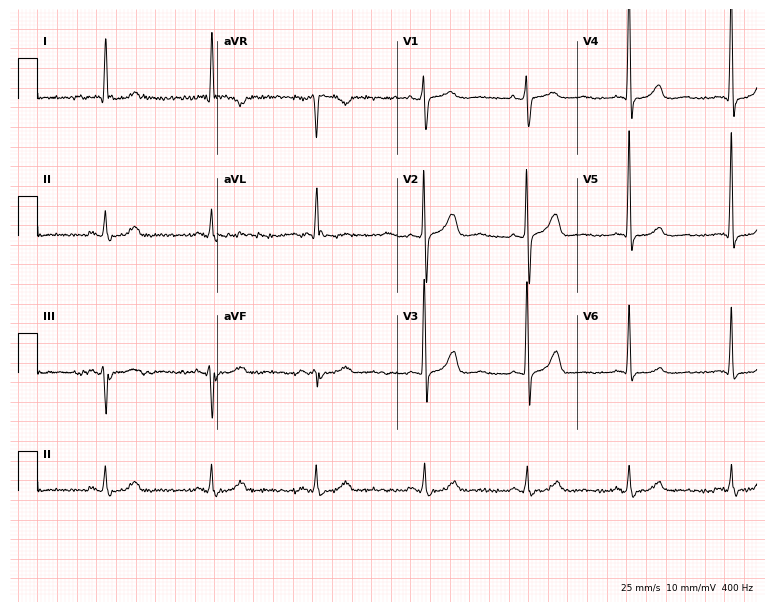
Electrocardiogram, a 72-year-old woman. Of the six screened findings (first-degree AV block, right bundle branch block (RBBB), left bundle branch block (LBBB), sinus bradycardia, atrial fibrillation (AF), sinus tachycardia), none is recorded.